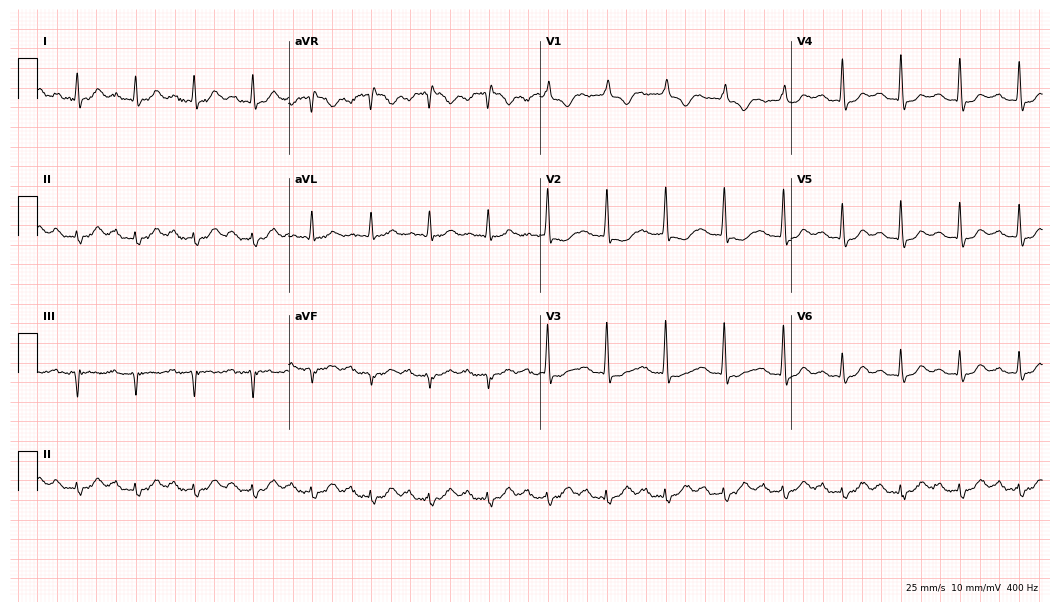
Standard 12-lead ECG recorded from a female, 66 years old (10.2-second recording at 400 Hz). The tracing shows first-degree AV block.